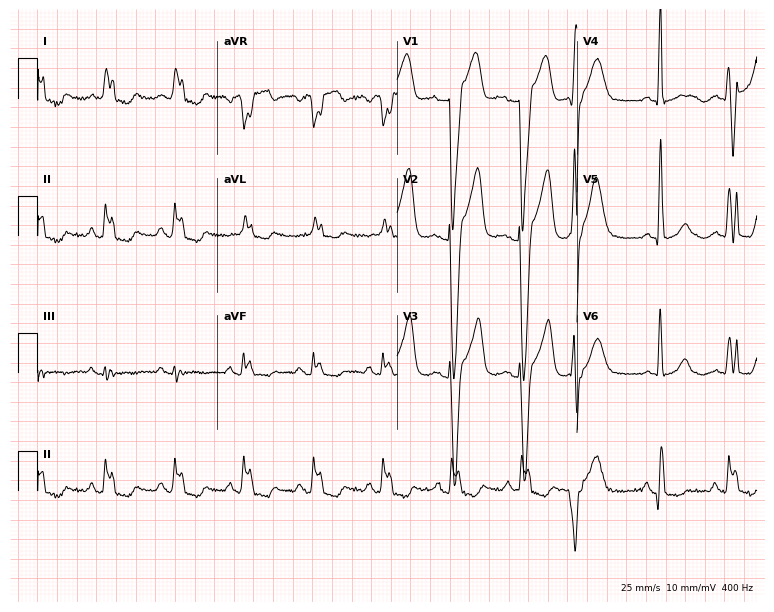
ECG — an 84-year-old woman. Screened for six findings — first-degree AV block, right bundle branch block, left bundle branch block, sinus bradycardia, atrial fibrillation, sinus tachycardia — none is recorded. Only these six findings were labelled.